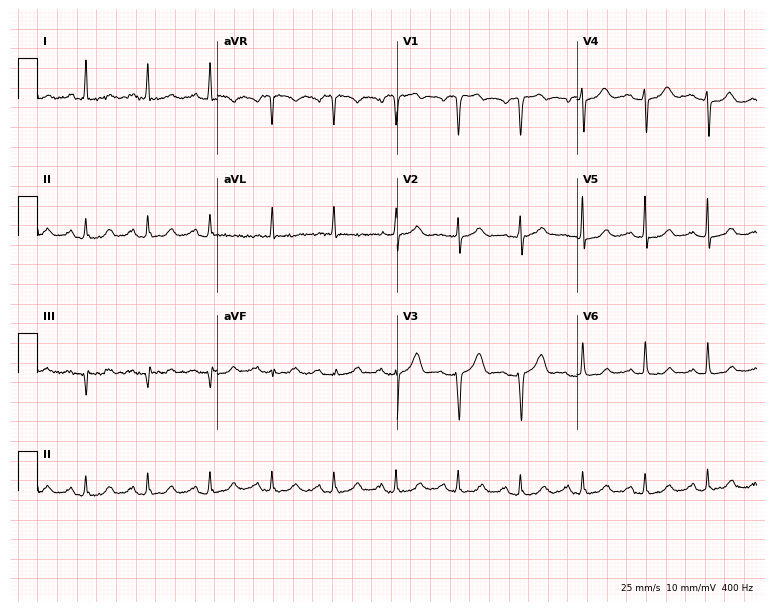
12-lead ECG from a woman, 58 years old. Recorded interpretation: within normal limits.